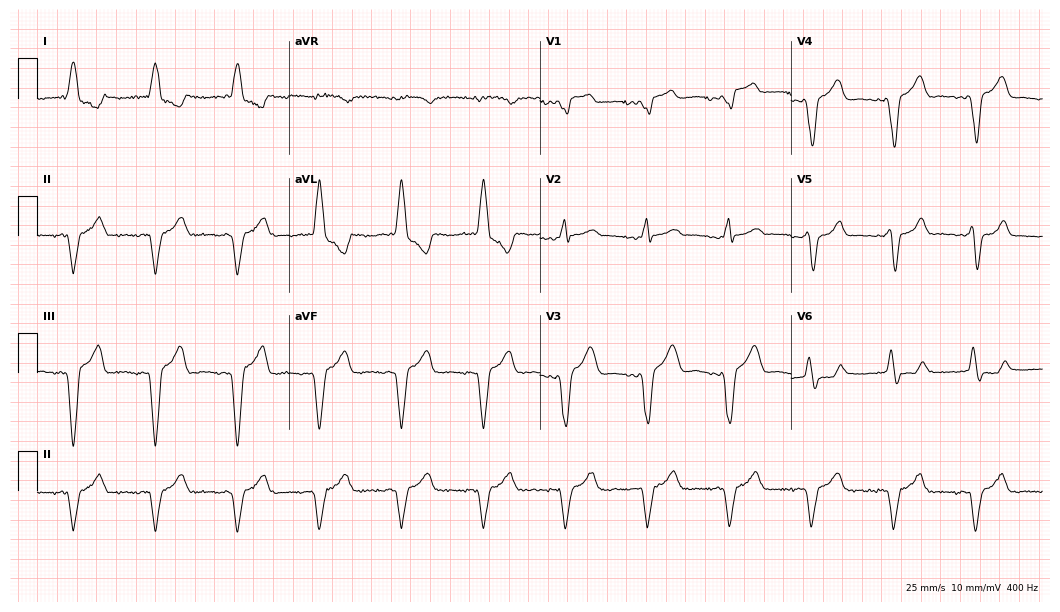
Standard 12-lead ECG recorded from a male, 80 years old (10.2-second recording at 400 Hz). None of these six findings is recorded: first-degree AV block, right bundle branch block (RBBB), left bundle branch block (LBBB), sinus bradycardia, atrial fibrillation (AF), sinus tachycardia. Other findings, if any, are not listed.